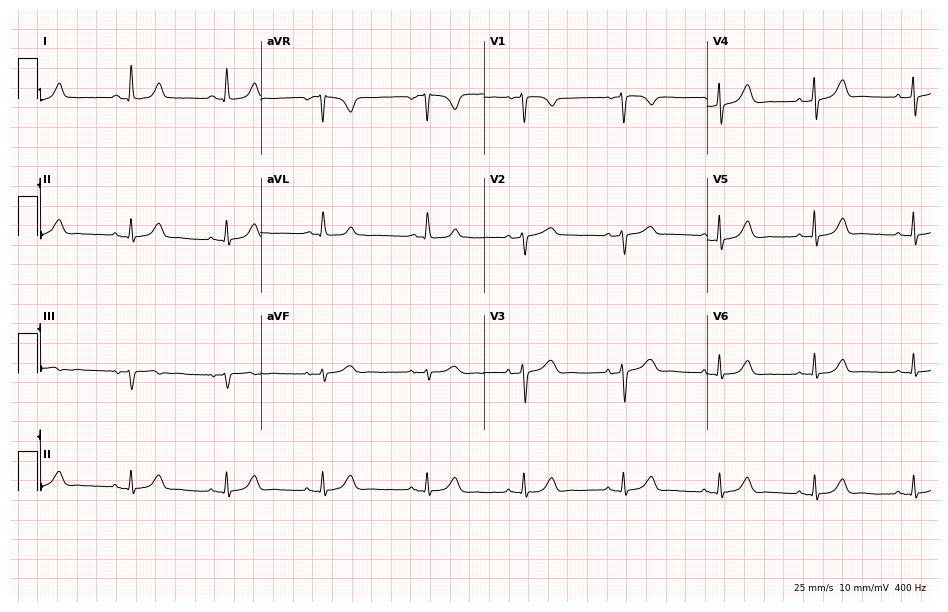
Resting 12-lead electrocardiogram (9.1-second recording at 400 Hz). Patient: a female, 61 years old. Read as a normal ECG.